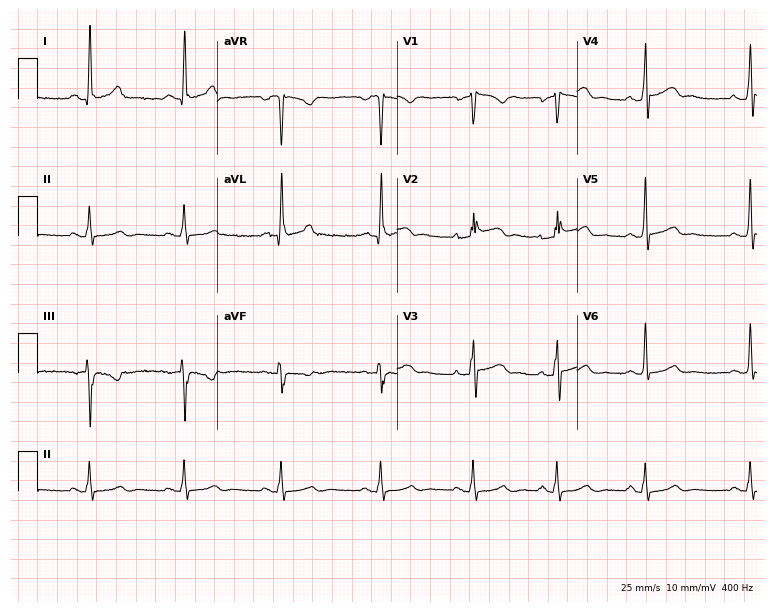
Electrocardiogram, a male, 51 years old. Of the six screened findings (first-degree AV block, right bundle branch block, left bundle branch block, sinus bradycardia, atrial fibrillation, sinus tachycardia), none is recorded. Findings outside these six are not listed.